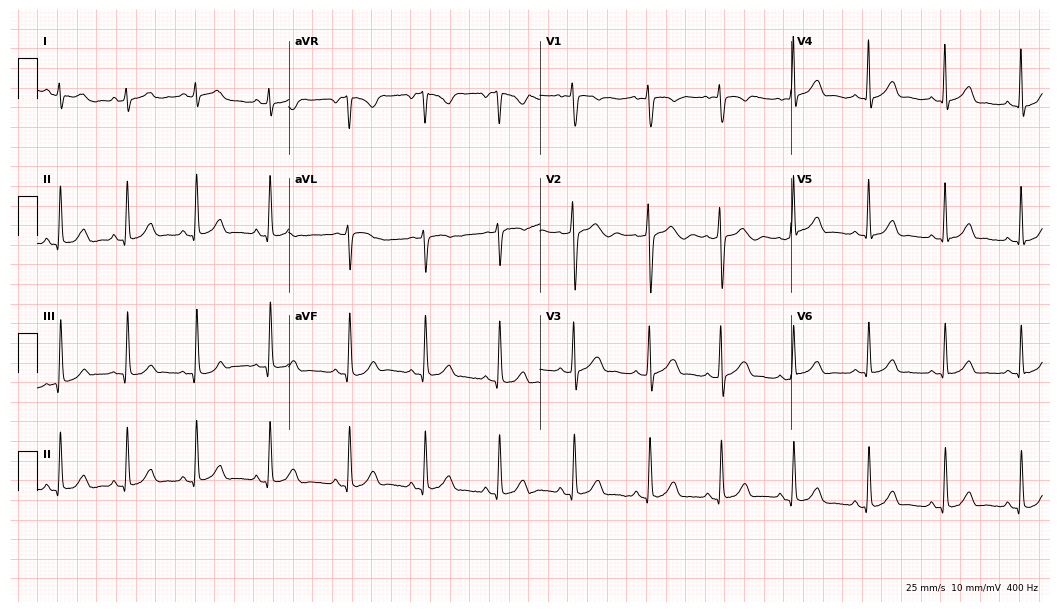
12-lead ECG (10.2-second recording at 400 Hz) from a 22-year-old female. Labelled as a normal ECG.